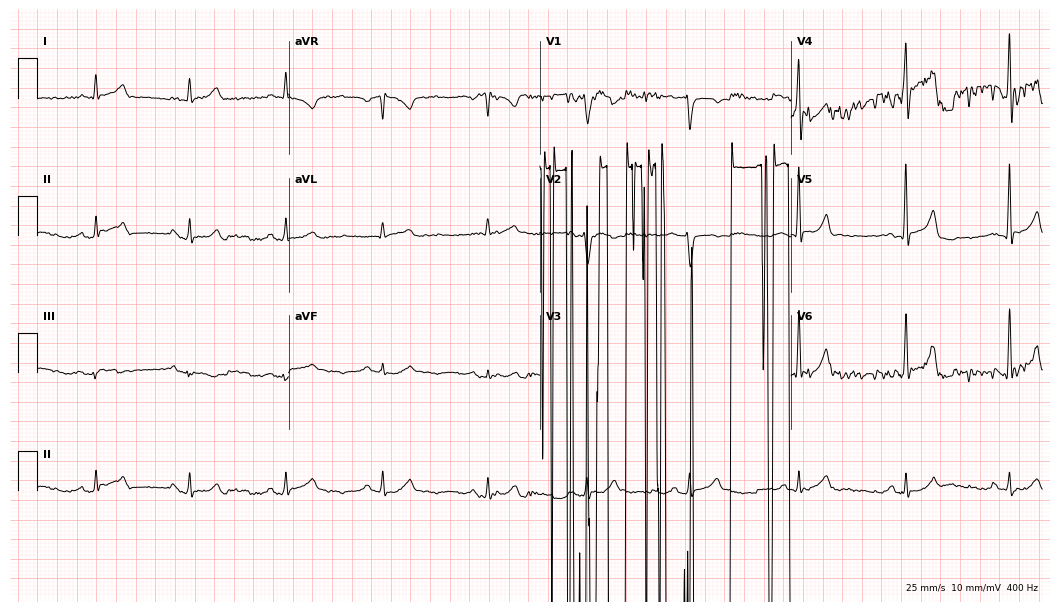
12-lead ECG from a male, 37 years old. Screened for six findings — first-degree AV block, right bundle branch block, left bundle branch block, sinus bradycardia, atrial fibrillation, sinus tachycardia — none is recorded.